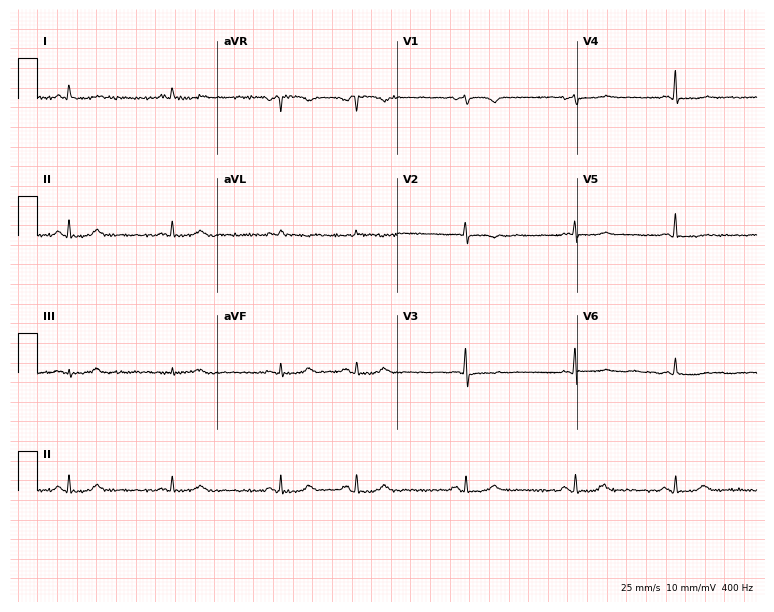
Electrocardiogram, a woman, 76 years old. Of the six screened findings (first-degree AV block, right bundle branch block (RBBB), left bundle branch block (LBBB), sinus bradycardia, atrial fibrillation (AF), sinus tachycardia), none is recorded. Findings outside these six are not listed.